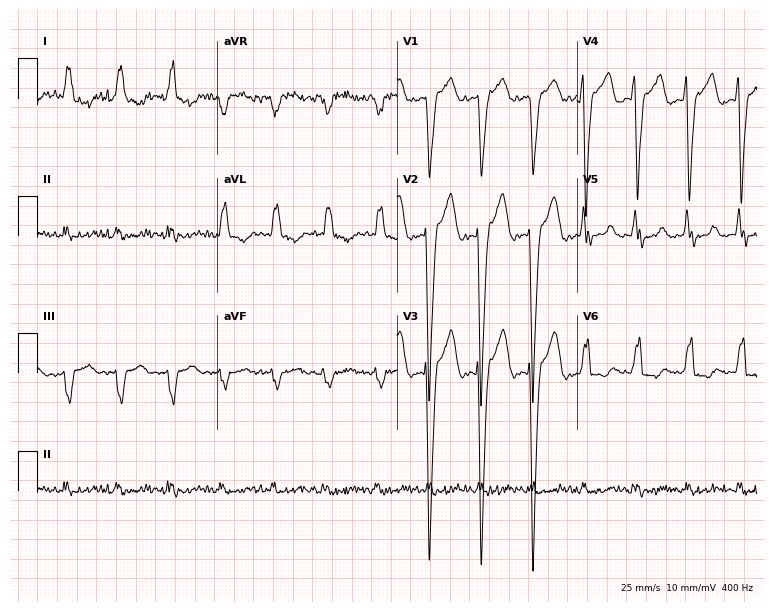
ECG (7.3-second recording at 400 Hz) — a female, 73 years old. Findings include left bundle branch block, sinus tachycardia (a sinus rate of 100 beats per minute or more).